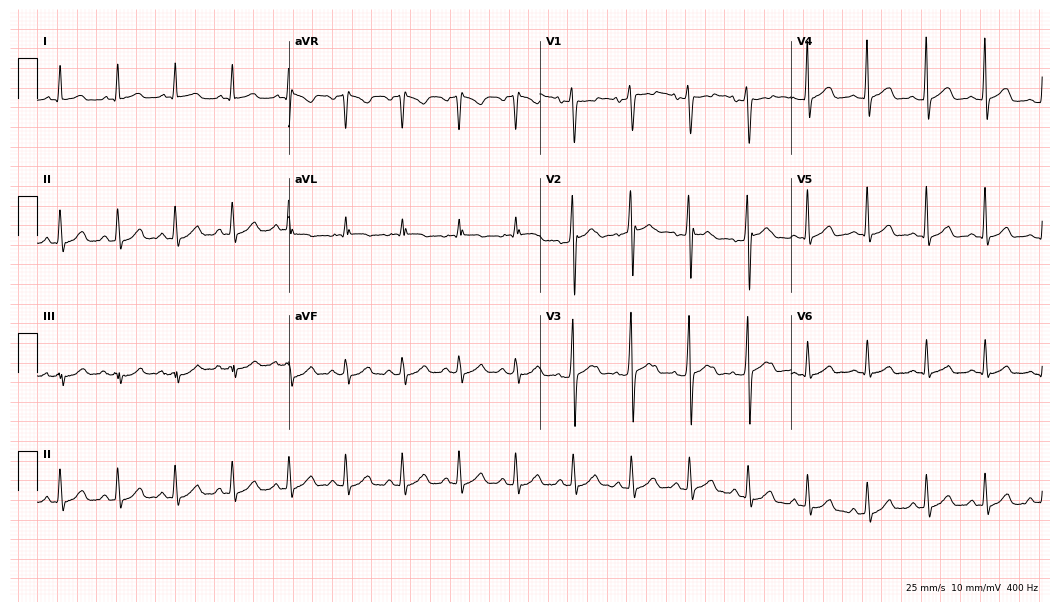
12-lead ECG from a male patient, 24 years old. Shows sinus tachycardia (a sinus rate of 100 beats per minute or more).